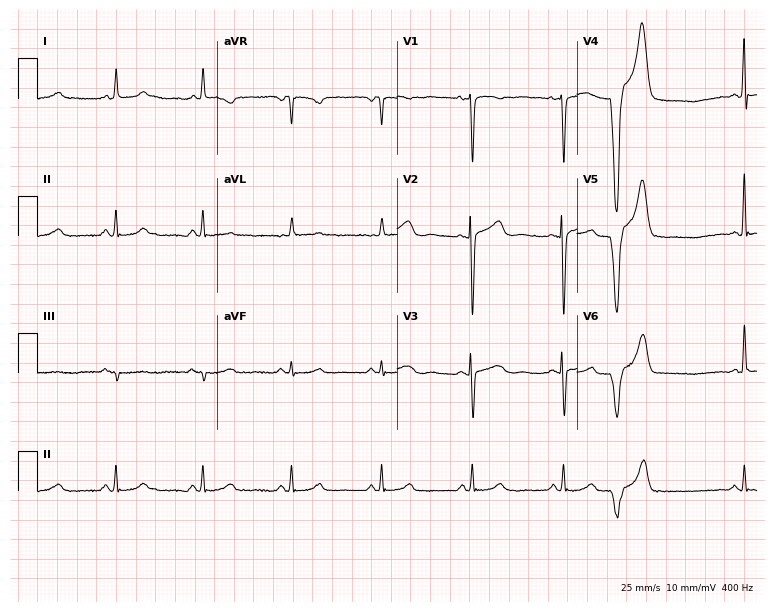
ECG (7.3-second recording at 400 Hz) — a woman, 43 years old. Labelled as a normal ECG.